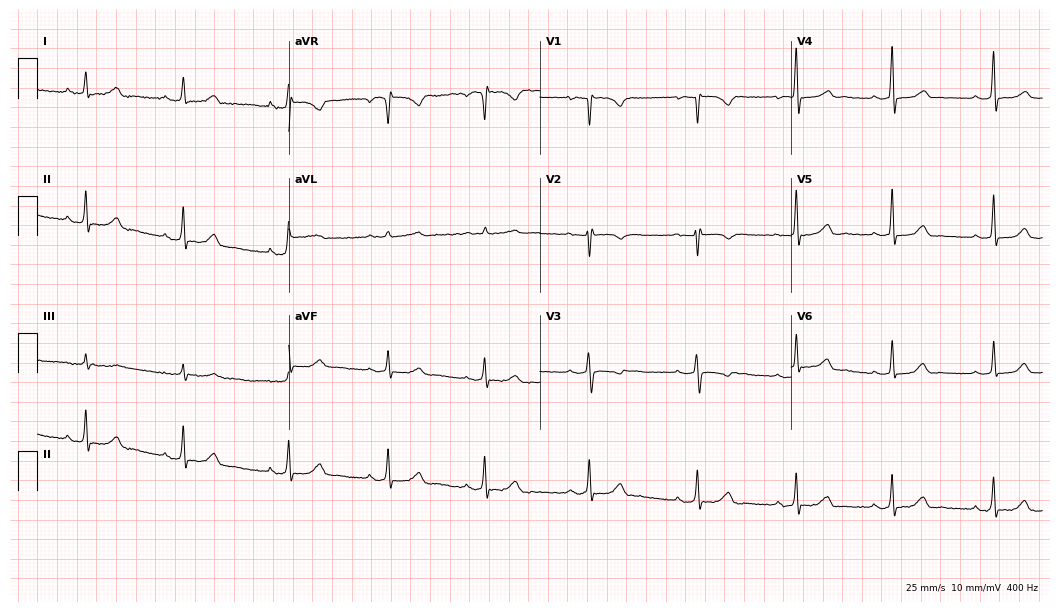
ECG — a 29-year-old female patient. Screened for six findings — first-degree AV block, right bundle branch block, left bundle branch block, sinus bradycardia, atrial fibrillation, sinus tachycardia — none is recorded.